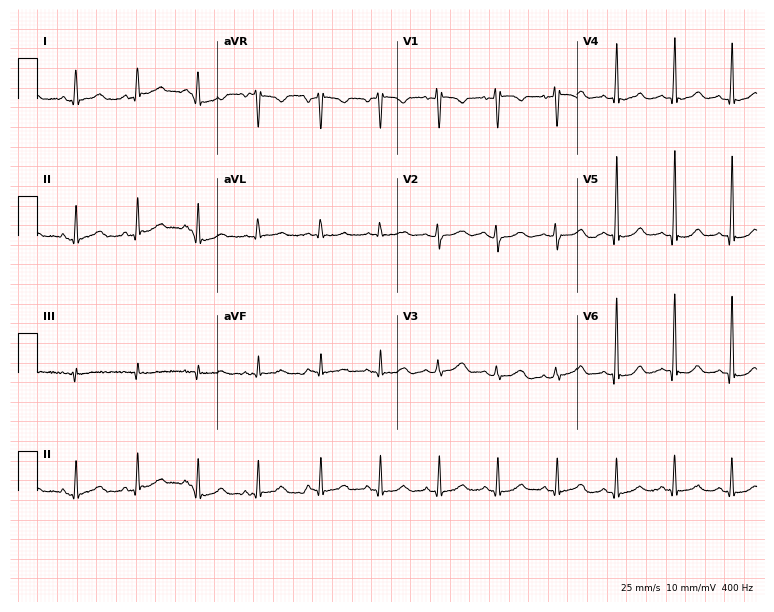
12-lead ECG from a 26-year-old female. No first-degree AV block, right bundle branch block (RBBB), left bundle branch block (LBBB), sinus bradycardia, atrial fibrillation (AF) or sinus tachycardia recorded for this tracing. Findings outside these six are not listed.